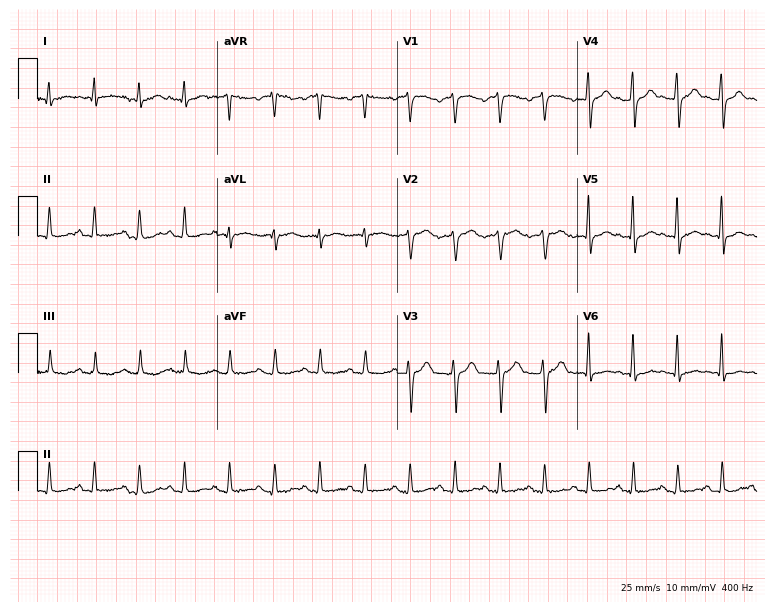
12-lead ECG (7.3-second recording at 400 Hz) from a female, 45 years old. Findings include sinus tachycardia (a sinus rate of 100 beats per minute or more).